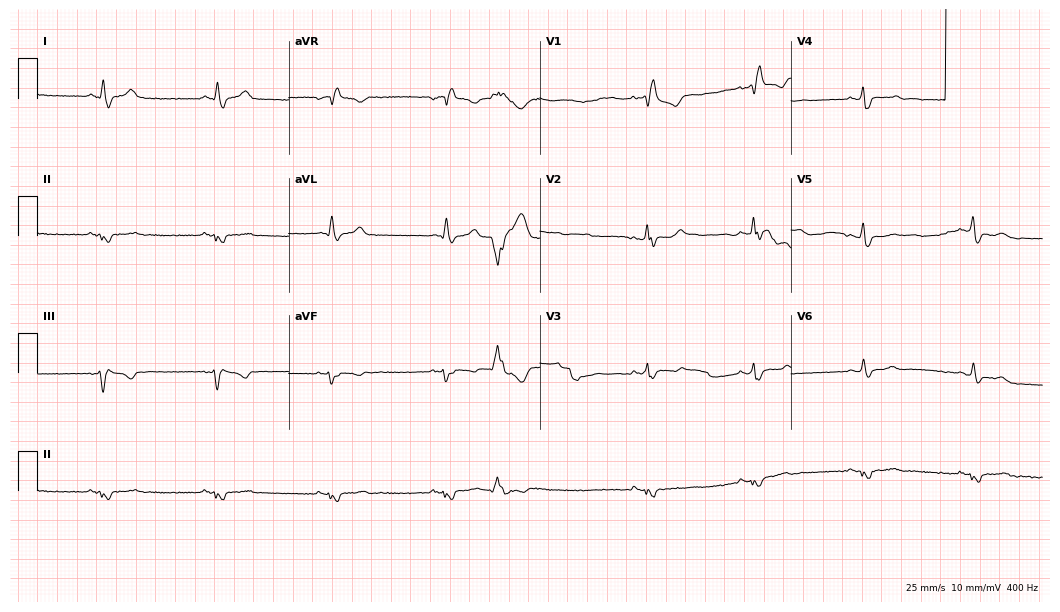
Standard 12-lead ECG recorded from a 54-year-old man. The tracing shows right bundle branch block (RBBB).